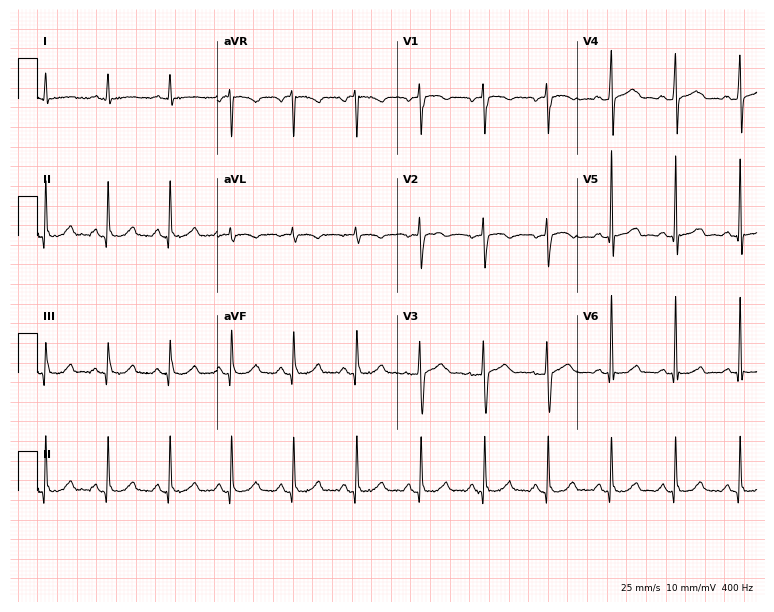
Electrocardiogram (7.3-second recording at 400 Hz), a woman, 48 years old. Overall reading on record: normal ECG.